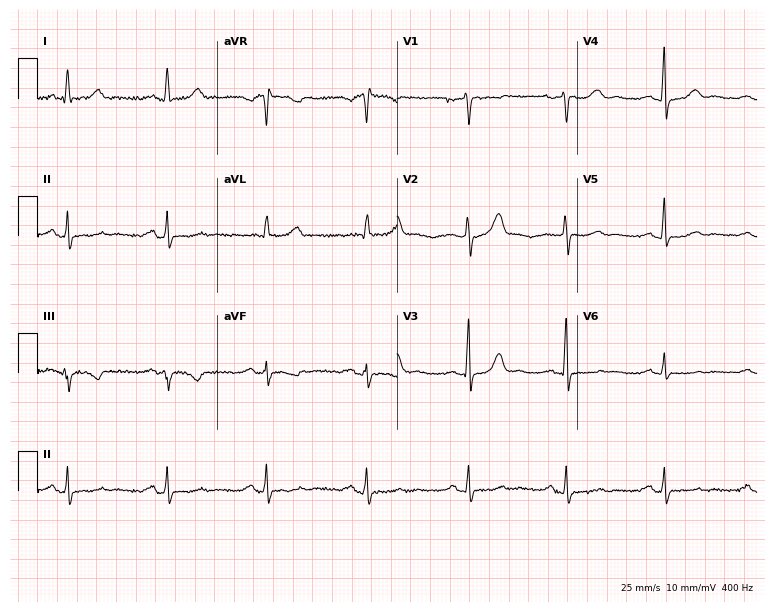
12-lead ECG from a female, 58 years old. No first-degree AV block, right bundle branch block (RBBB), left bundle branch block (LBBB), sinus bradycardia, atrial fibrillation (AF) or sinus tachycardia recorded for this tracing. Findings outside these six are not listed.